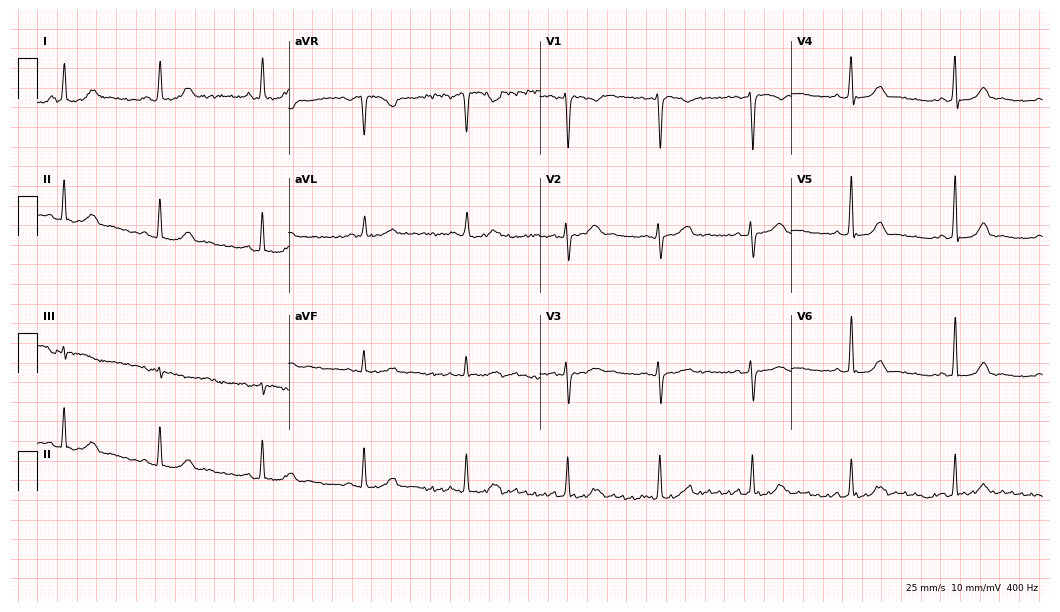
ECG (10.2-second recording at 400 Hz) — a 36-year-old female. Labelled as a normal ECG.